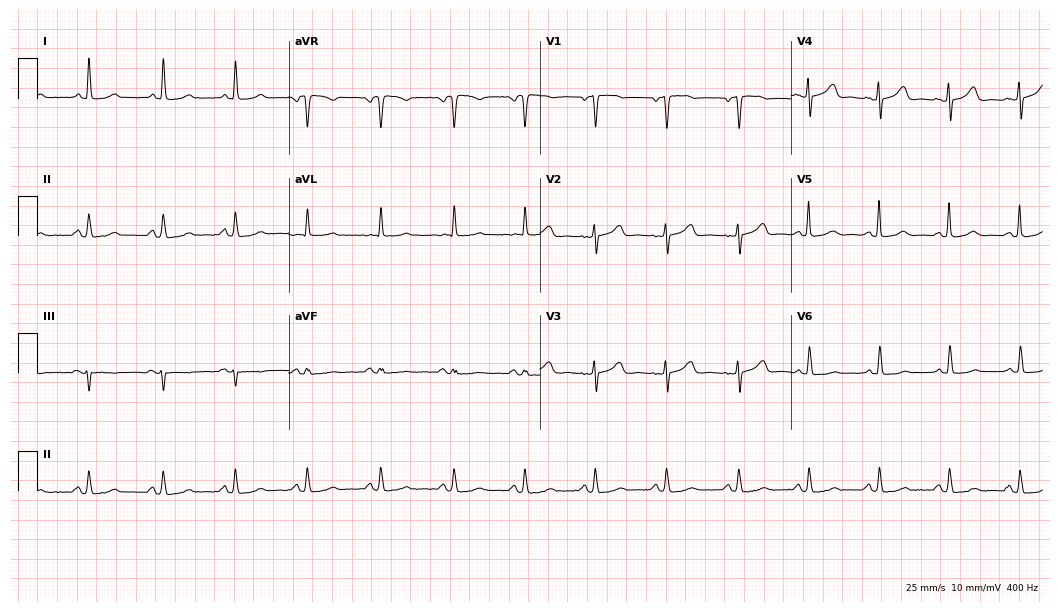
Electrocardiogram, a 68-year-old woman. Overall reading on record: normal ECG.